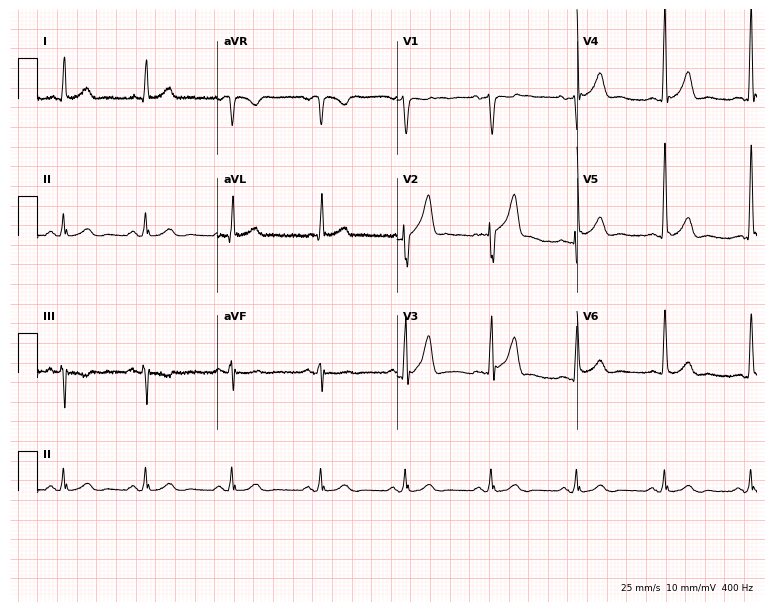
Electrocardiogram, a 46-year-old male patient. Overall reading on record: normal ECG.